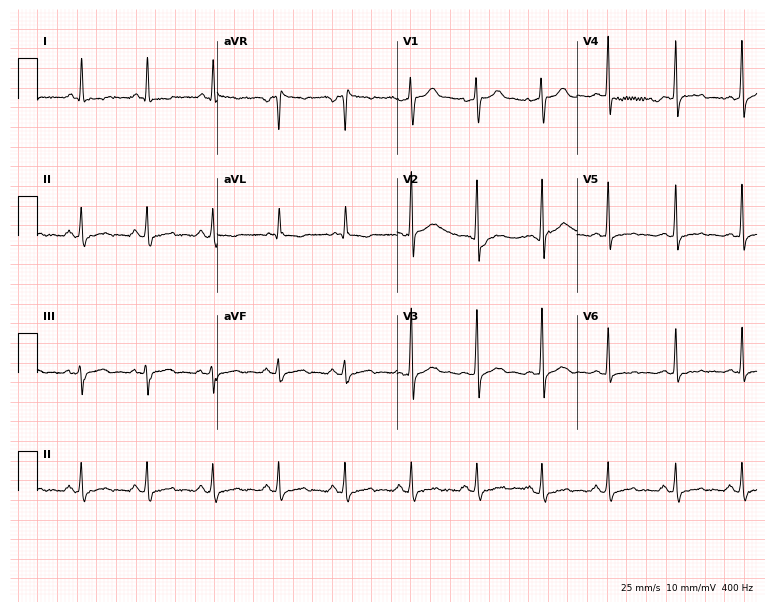
12-lead ECG from a 44-year-old male patient. Screened for six findings — first-degree AV block, right bundle branch block, left bundle branch block, sinus bradycardia, atrial fibrillation, sinus tachycardia — none is recorded.